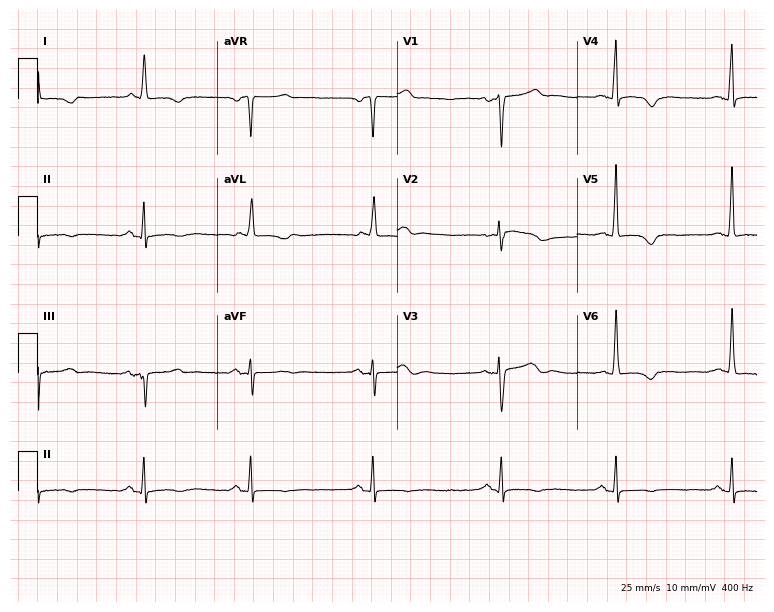
12-lead ECG (7.3-second recording at 400 Hz) from a woman, 65 years old. Screened for six findings — first-degree AV block, right bundle branch block, left bundle branch block, sinus bradycardia, atrial fibrillation, sinus tachycardia — none is recorded.